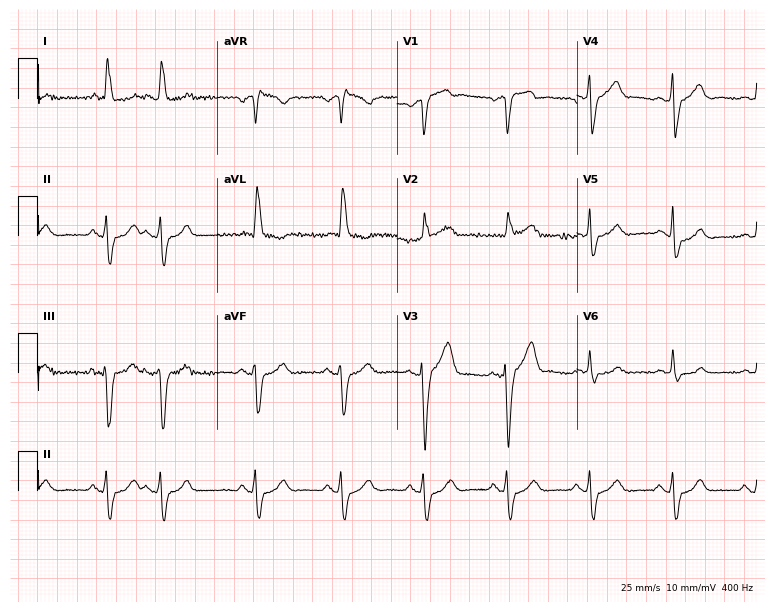
ECG — a 78-year-old man. Screened for six findings — first-degree AV block, right bundle branch block, left bundle branch block, sinus bradycardia, atrial fibrillation, sinus tachycardia — none is recorded.